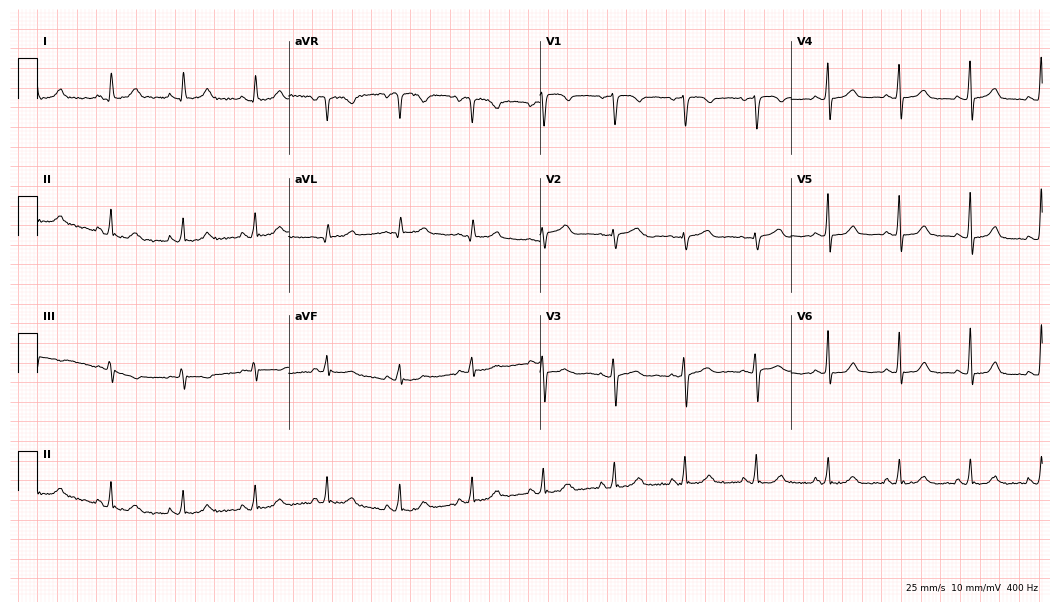
12-lead ECG from a 53-year-old female (10.2-second recording at 400 Hz). Recorded interpretation: within normal limits.